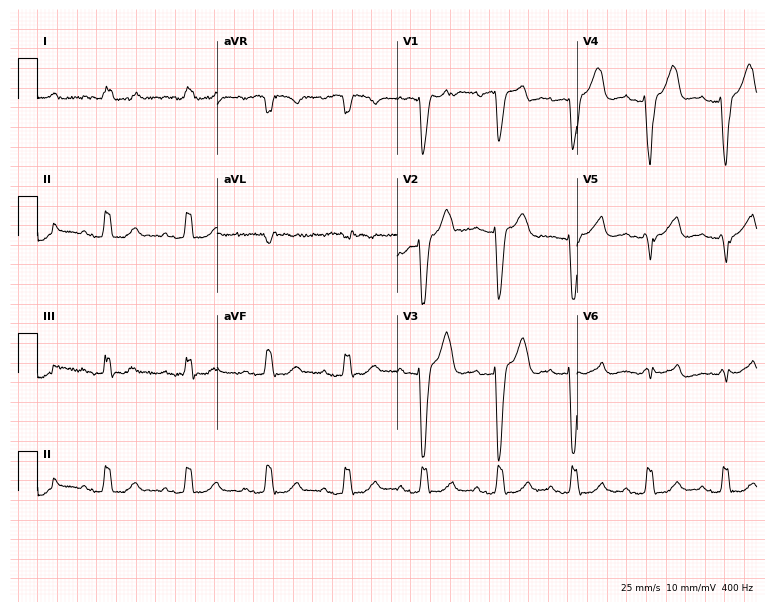
Electrocardiogram (7.3-second recording at 400 Hz), a 66-year-old woman. Interpretation includes left bundle branch block (LBBB).